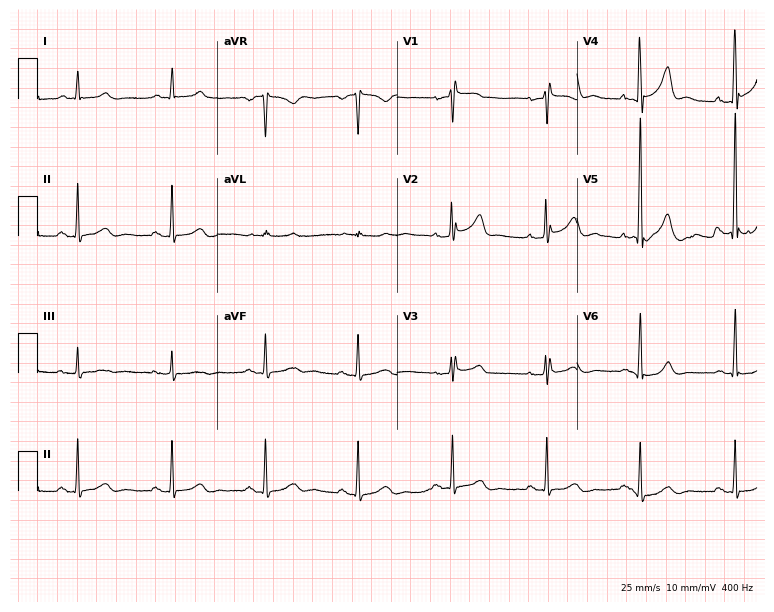
Electrocardiogram, a man, 76 years old. Overall reading on record: normal ECG.